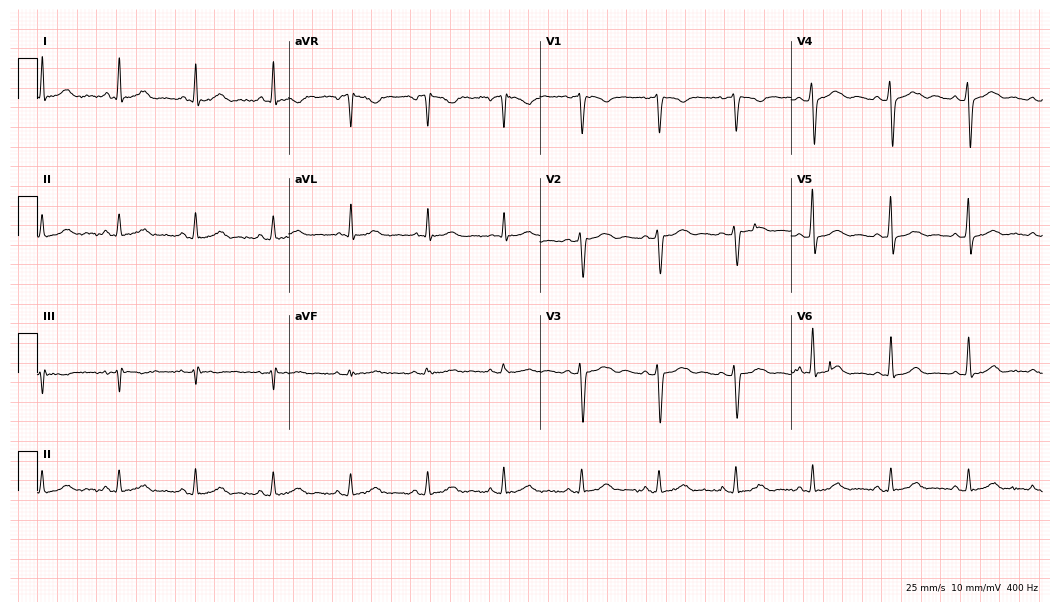
12-lead ECG (10.2-second recording at 400 Hz) from a man, 62 years old. Labelled as a normal ECG.